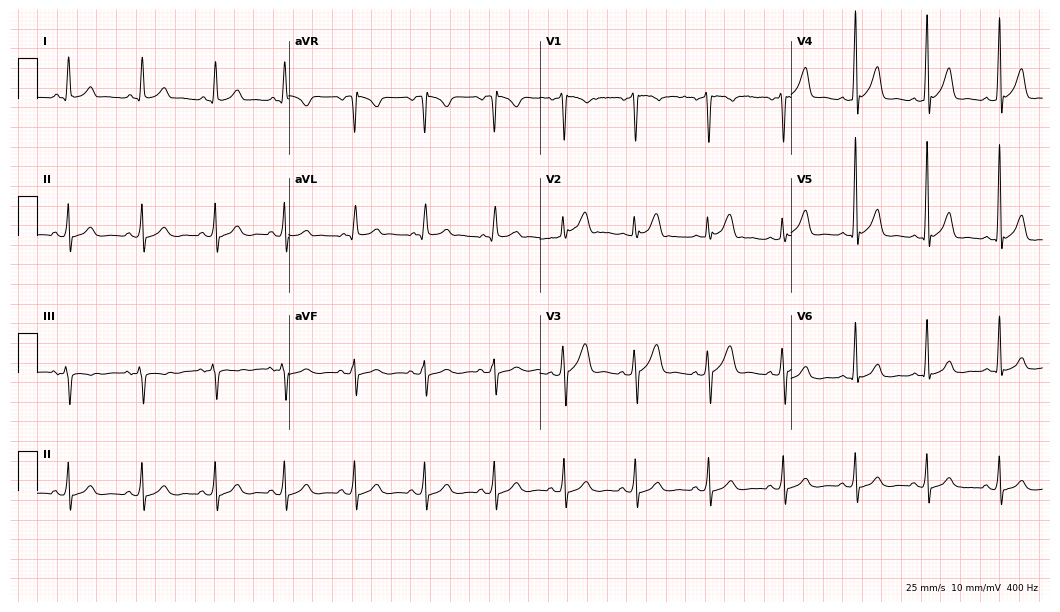
12-lead ECG from a male, 23 years old. No first-degree AV block, right bundle branch block, left bundle branch block, sinus bradycardia, atrial fibrillation or sinus tachycardia recorded for this tracing. Other findings, if any, are not listed.